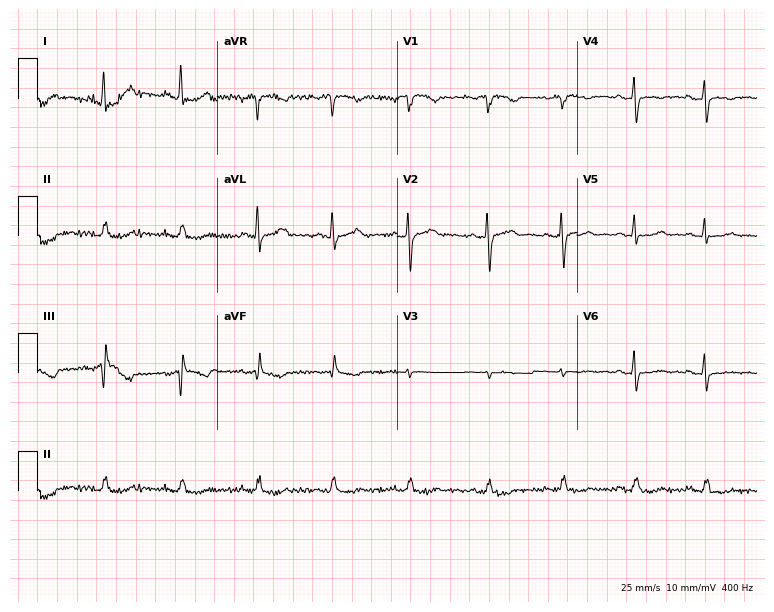
Standard 12-lead ECG recorded from a 56-year-old female. None of these six findings is recorded: first-degree AV block, right bundle branch block, left bundle branch block, sinus bradycardia, atrial fibrillation, sinus tachycardia.